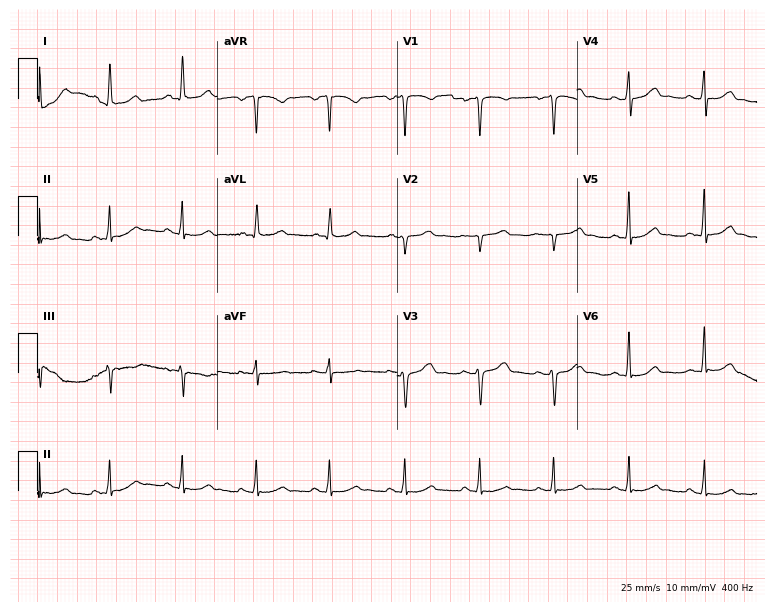
Electrocardiogram, a 39-year-old female patient. Overall reading on record: normal ECG.